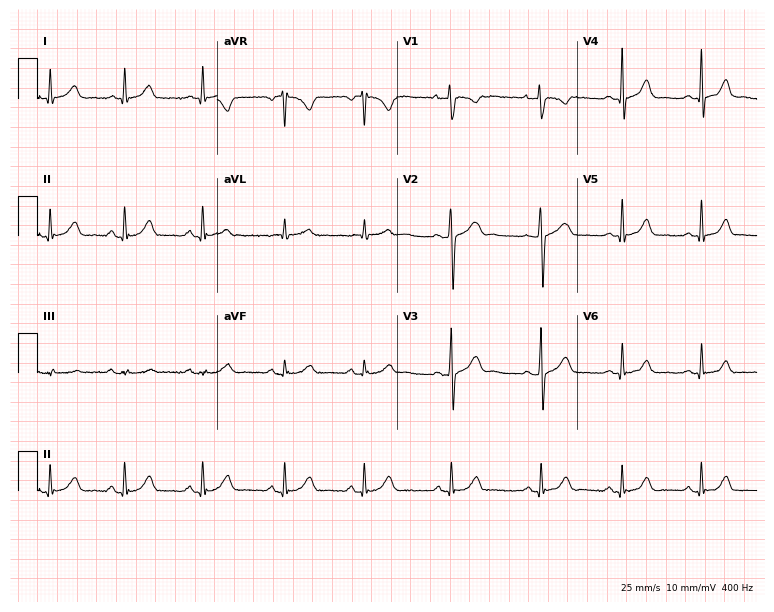
12-lead ECG (7.3-second recording at 400 Hz) from a female, 25 years old. Screened for six findings — first-degree AV block, right bundle branch block, left bundle branch block, sinus bradycardia, atrial fibrillation, sinus tachycardia — none is recorded. Findings outside these six are not listed.